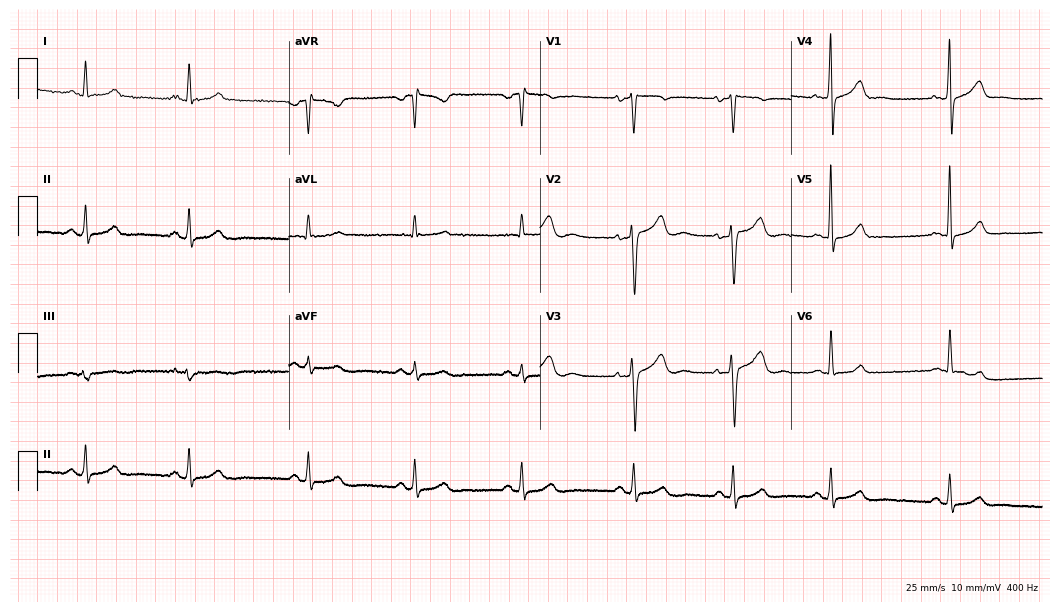
Resting 12-lead electrocardiogram. Patient: a female, 57 years old. Read as a normal ECG.